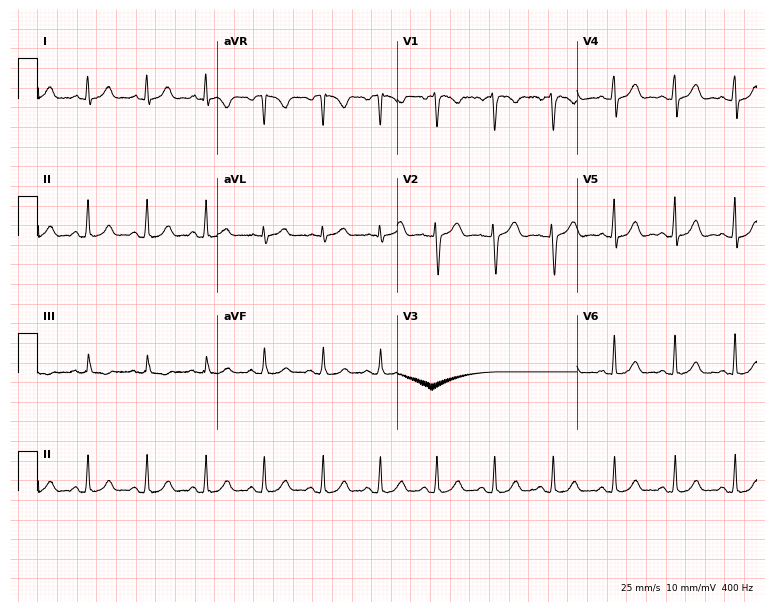
ECG (7.3-second recording at 400 Hz) — a woman, 32 years old. Screened for six findings — first-degree AV block, right bundle branch block (RBBB), left bundle branch block (LBBB), sinus bradycardia, atrial fibrillation (AF), sinus tachycardia — none is recorded. Only these six findings were labelled.